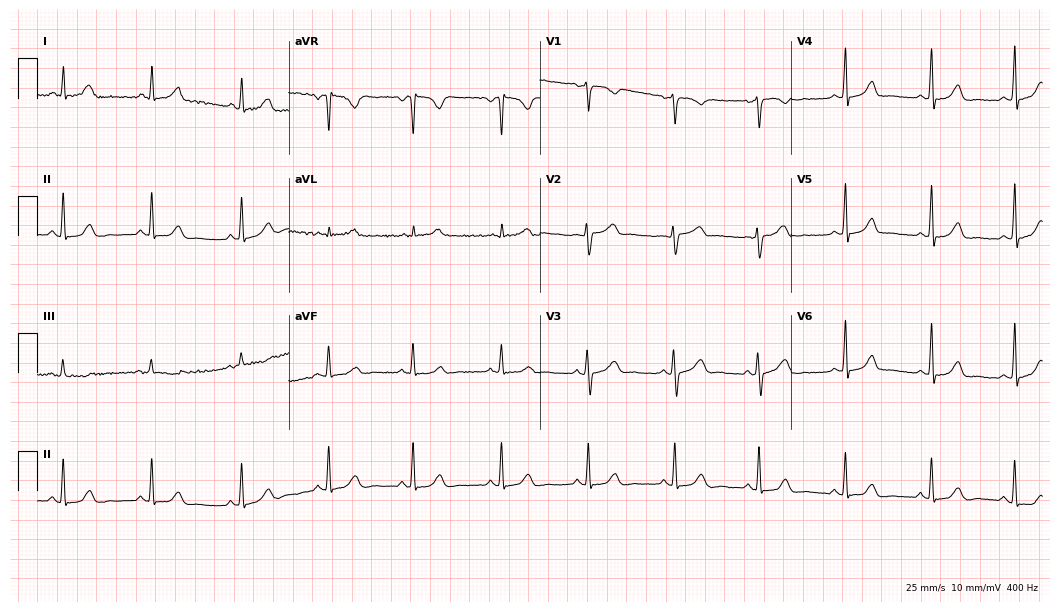
Resting 12-lead electrocardiogram (10.2-second recording at 400 Hz). Patient: a woman, 45 years old. Read as a normal ECG.